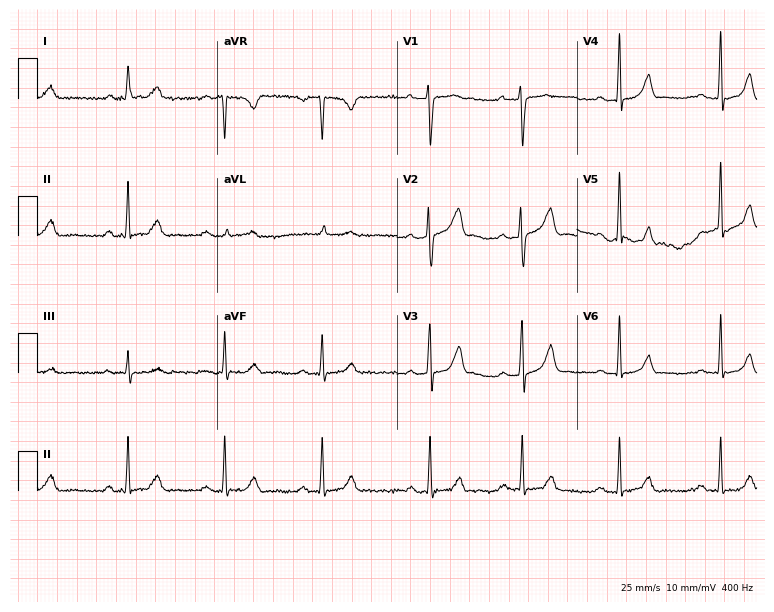
ECG (7.3-second recording at 400 Hz) — a 29-year-old female patient. Findings include first-degree AV block.